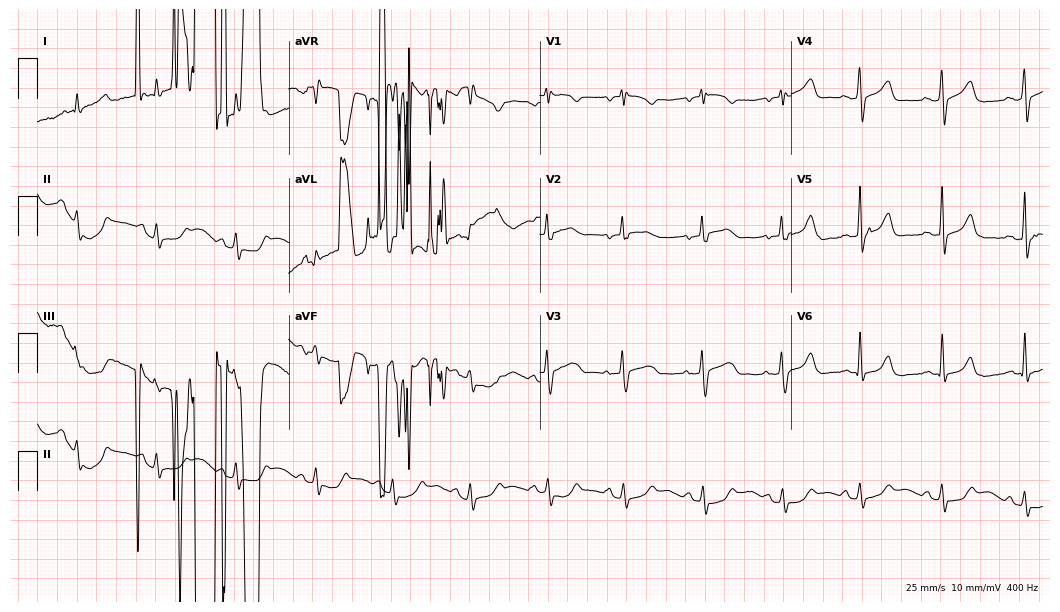
12-lead ECG from a woman, 43 years old (10.2-second recording at 400 Hz). No first-degree AV block, right bundle branch block, left bundle branch block, sinus bradycardia, atrial fibrillation or sinus tachycardia recorded for this tracing. Findings outside these six are not listed.